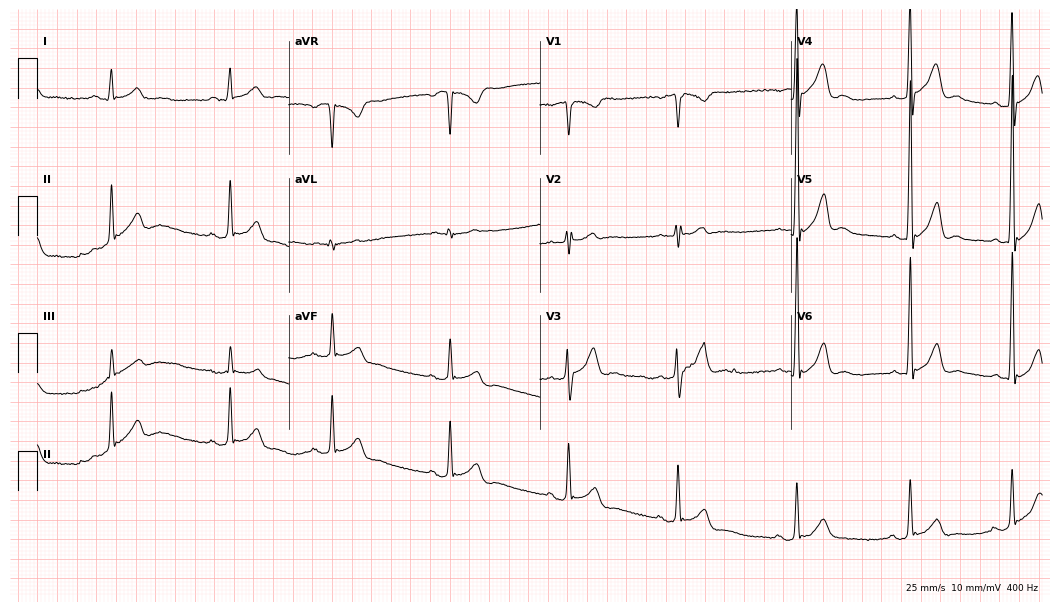
Resting 12-lead electrocardiogram. Patient: a male, 26 years old. None of these six findings is recorded: first-degree AV block, right bundle branch block (RBBB), left bundle branch block (LBBB), sinus bradycardia, atrial fibrillation (AF), sinus tachycardia.